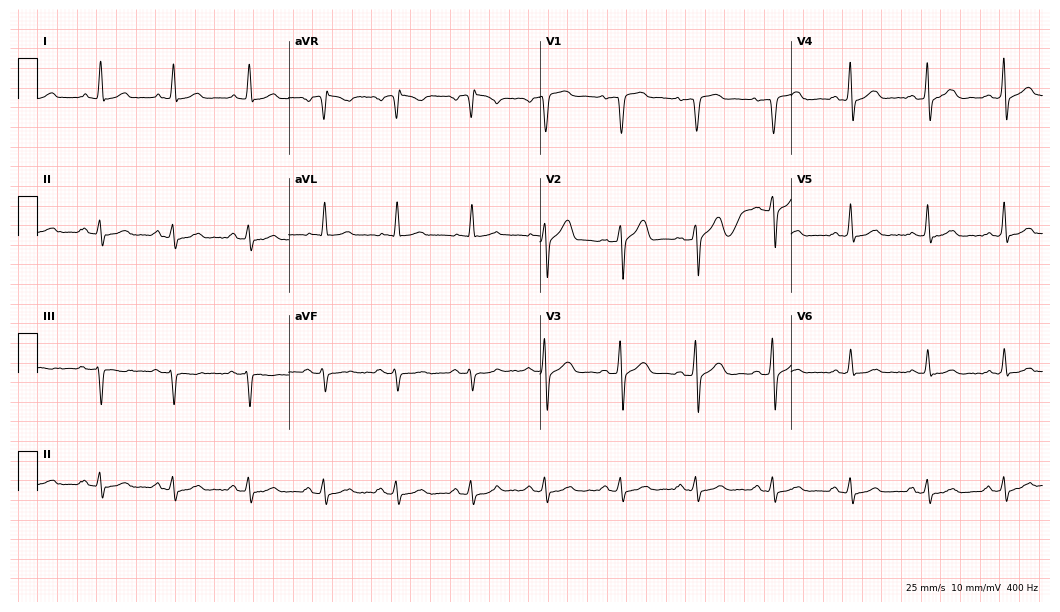
12-lead ECG from a male, 70 years old. Labelled as a normal ECG.